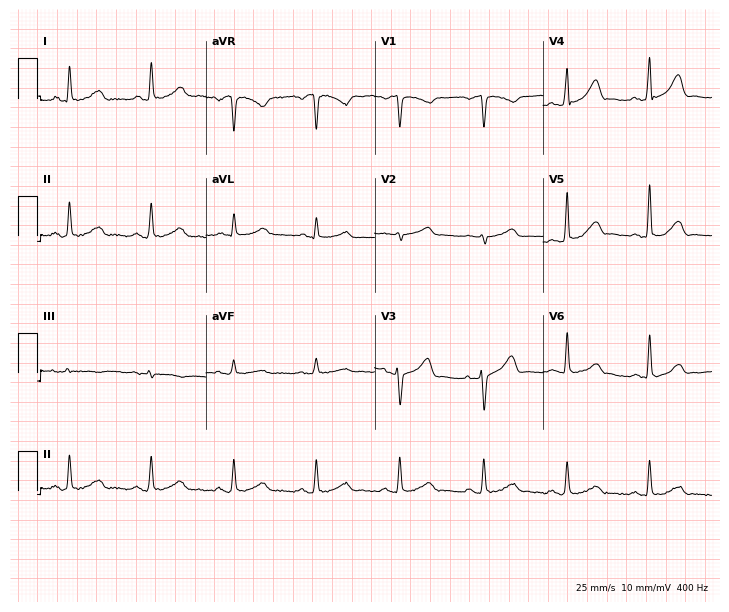
12-lead ECG from a female patient, 42 years old. Labelled as a normal ECG.